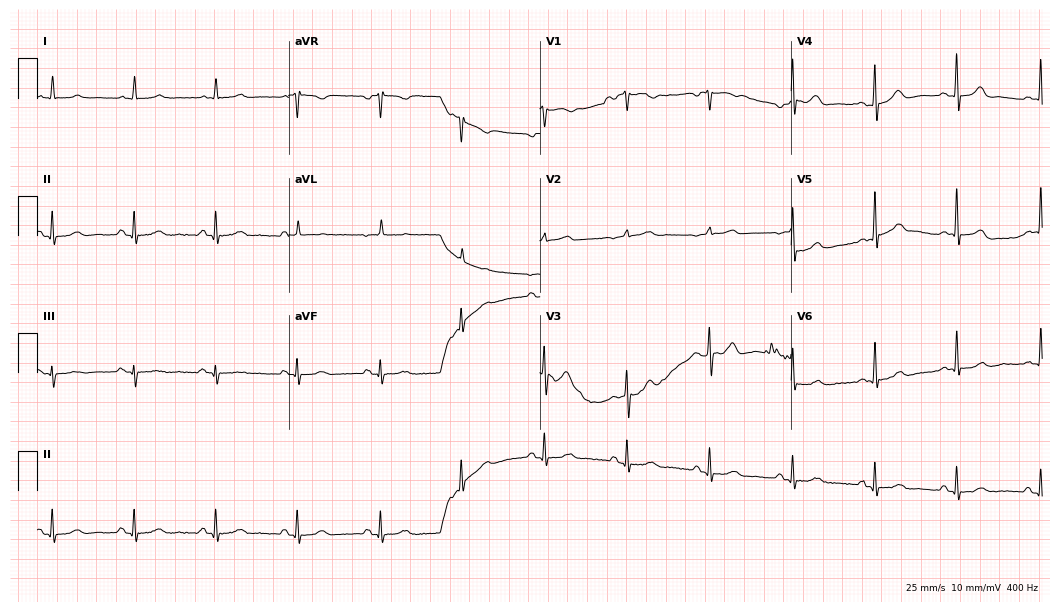
ECG (10.2-second recording at 400 Hz) — a male, 83 years old. Labelled as a normal ECG.